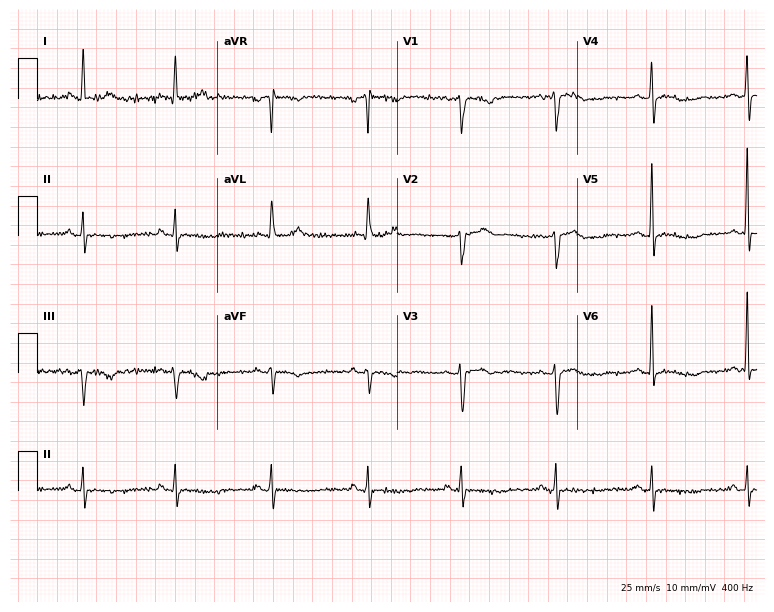
ECG (7.3-second recording at 400 Hz) — a 59-year-old woman. Screened for six findings — first-degree AV block, right bundle branch block, left bundle branch block, sinus bradycardia, atrial fibrillation, sinus tachycardia — none is recorded. Other findings, if any, are not listed.